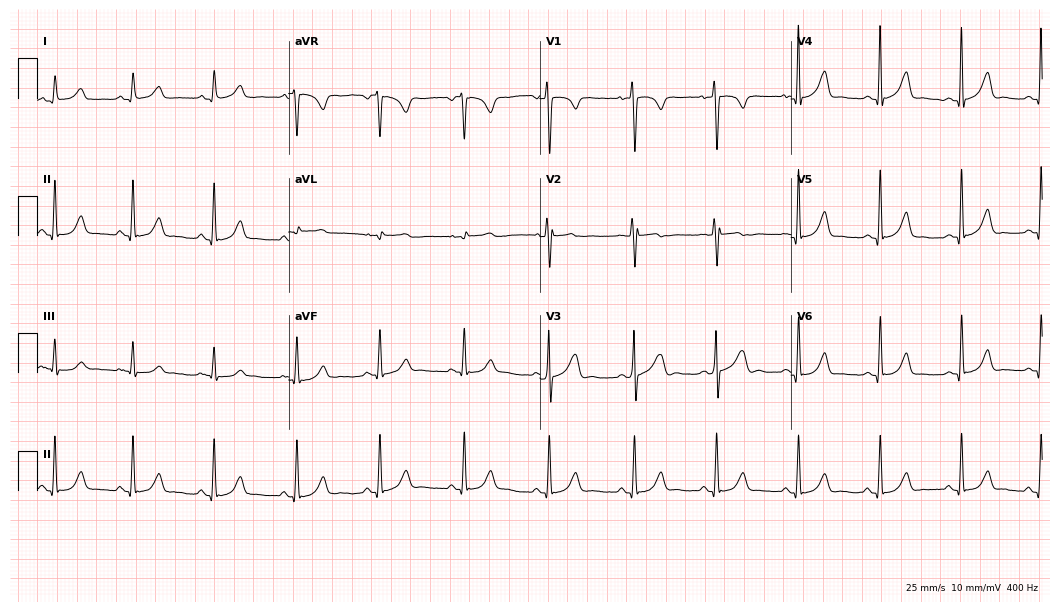
Resting 12-lead electrocardiogram (10.2-second recording at 400 Hz). Patient: a 56-year-old male. Read as a normal ECG.